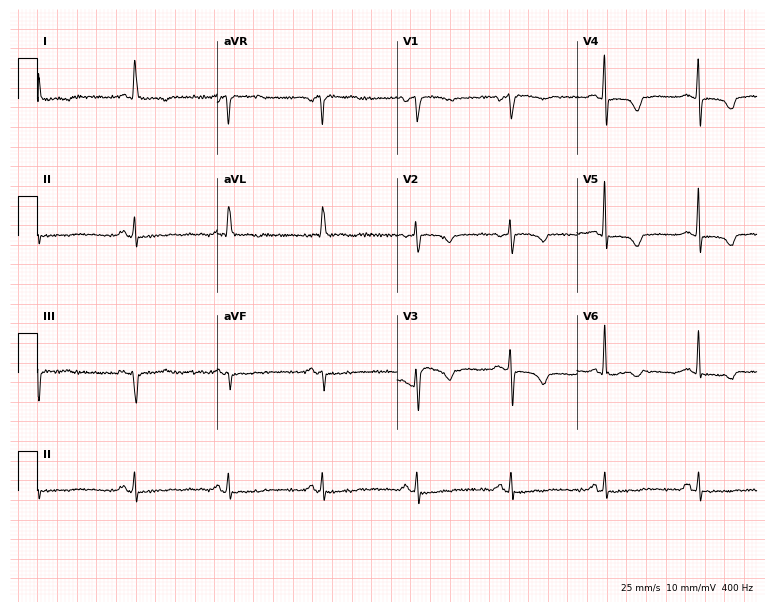
Resting 12-lead electrocardiogram. Patient: an 84-year-old woman. None of these six findings is recorded: first-degree AV block, right bundle branch block, left bundle branch block, sinus bradycardia, atrial fibrillation, sinus tachycardia. Findings outside these six are not listed.